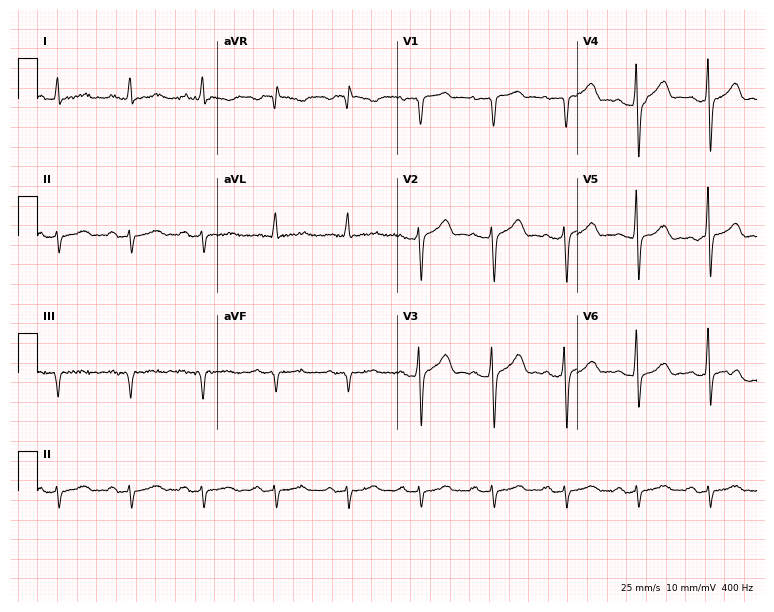
Electrocardiogram, a 67-year-old male. Of the six screened findings (first-degree AV block, right bundle branch block, left bundle branch block, sinus bradycardia, atrial fibrillation, sinus tachycardia), none is recorded. Findings outside these six are not listed.